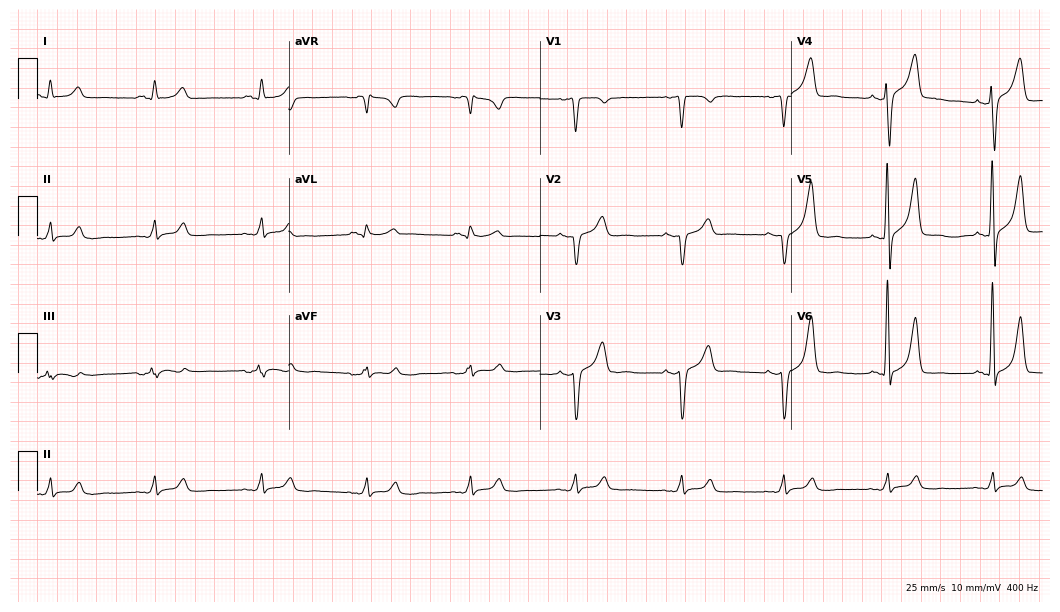
Standard 12-lead ECG recorded from a male patient, 58 years old. None of these six findings is recorded: first-degree AV block, right bundle branch block, left bundle branch block, sinus bradycardia, atrial fibrillation, sinus tachycardia. Findings outside these six are not listed.